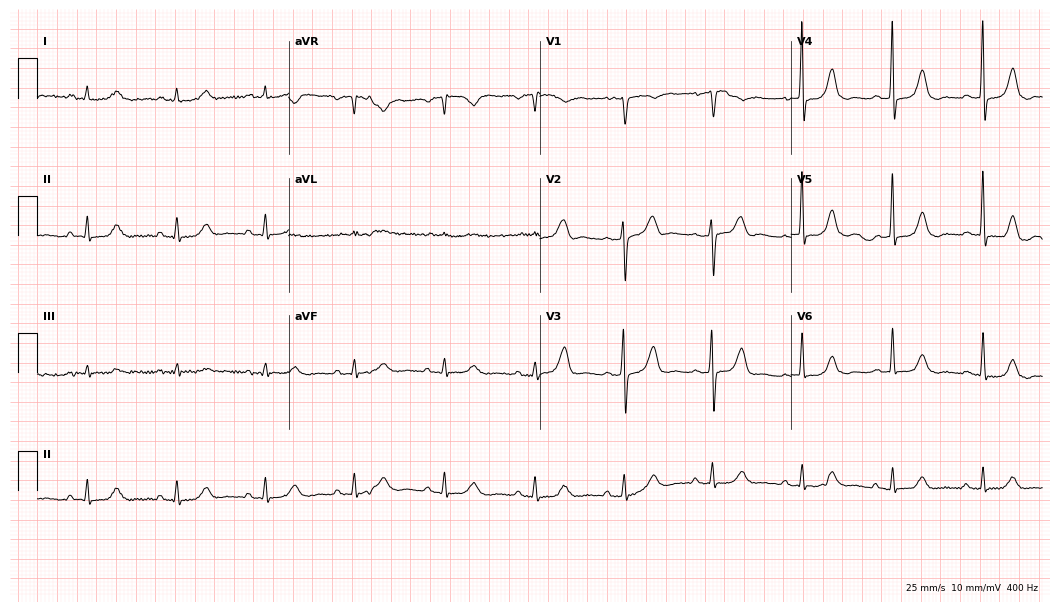
Resting 12-lead electrocardiogram (10.2-second recording at 400 Hz). Patient: a male, 79 years old. None of these six findings is recorded: first-degree AV block, right bundle branch block, left bundle branch block, sinus bradycardia, atrial fibrillation, sinus tachycardia. Findings outside these six are not listed.